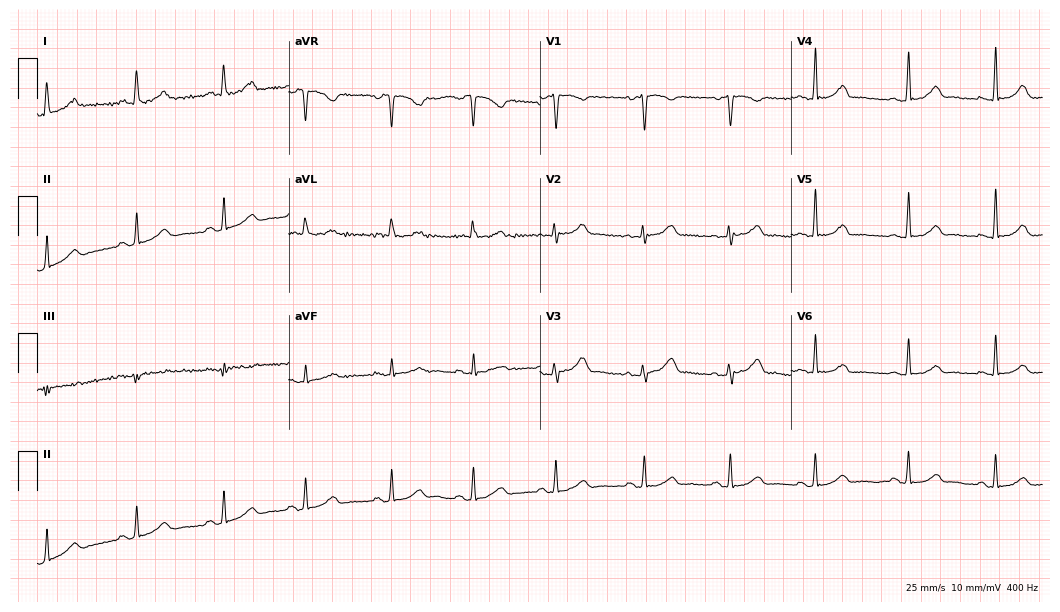
12-lead ECG from a 35-year-old female patient. Recorded interpretation: within normal limits.